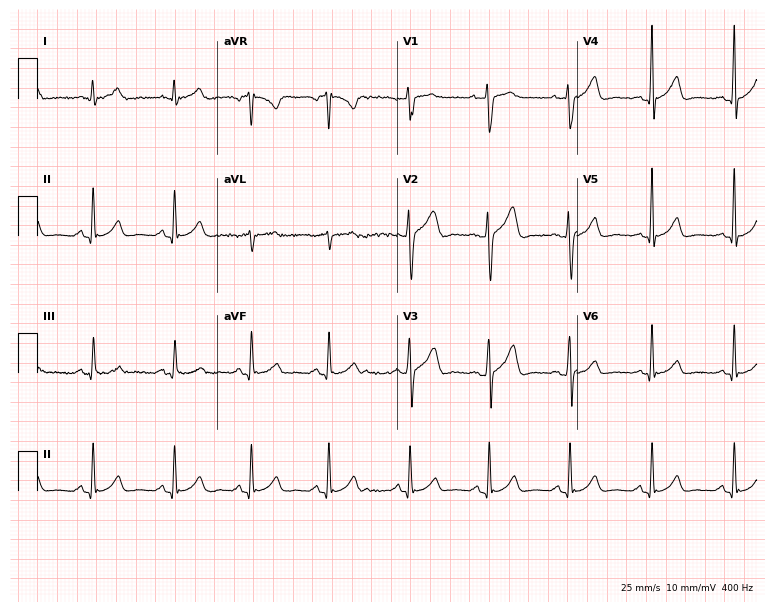
12-lead ECG from a 24-year-old male (7.3-second recording at 400 Hz). Recorded interpretation: within normal limits.